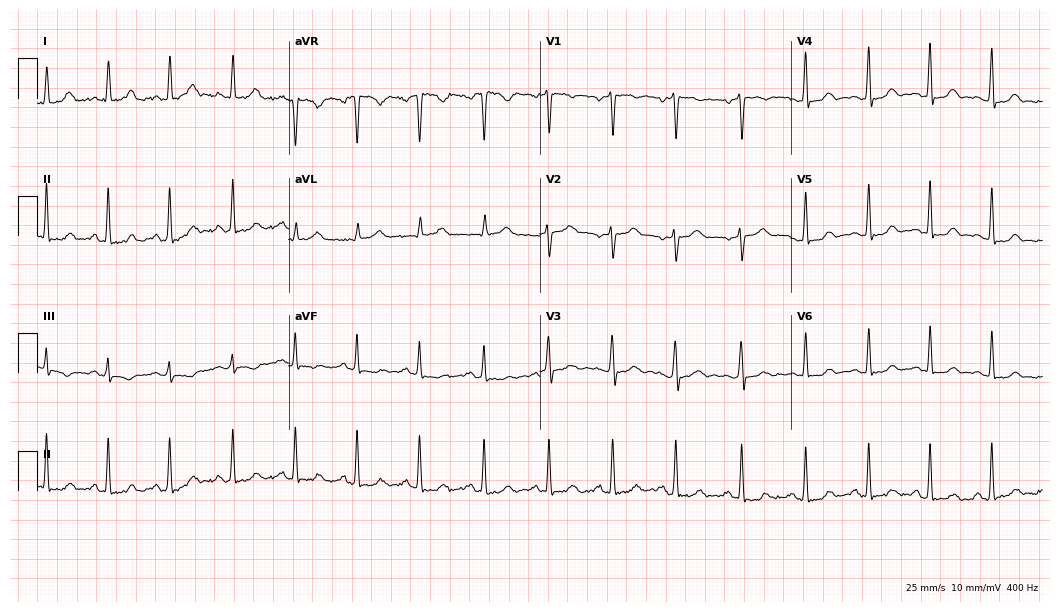
Standard 12-lead ECG recorded from a 36-year-old female. Read as a normal ECG.